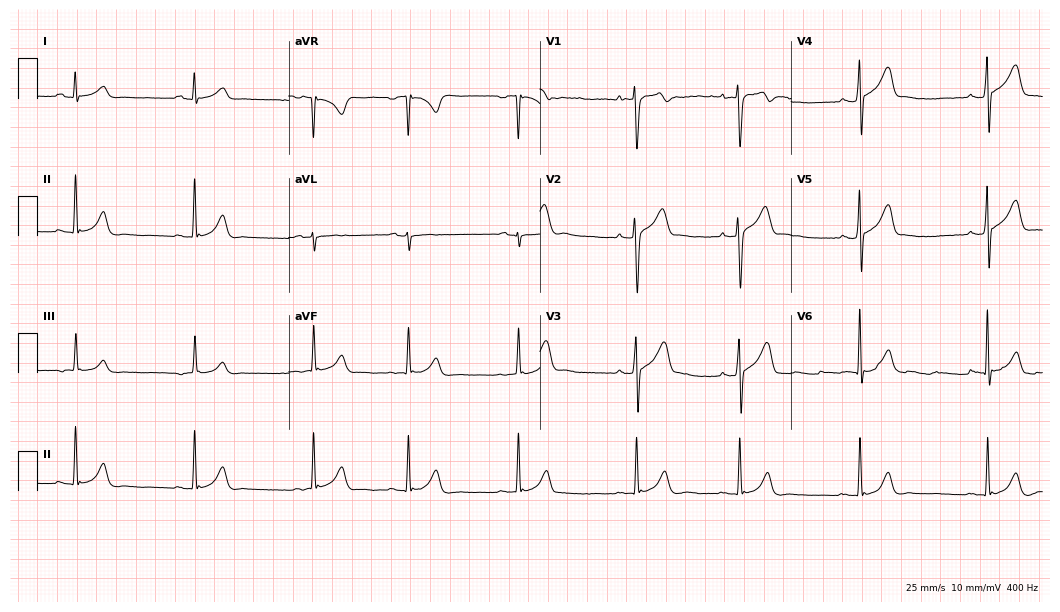
Electrocardiogram (10.2-second recording at 400 Hz), a male, 17 years old. Overall reading on record: normal ECG.